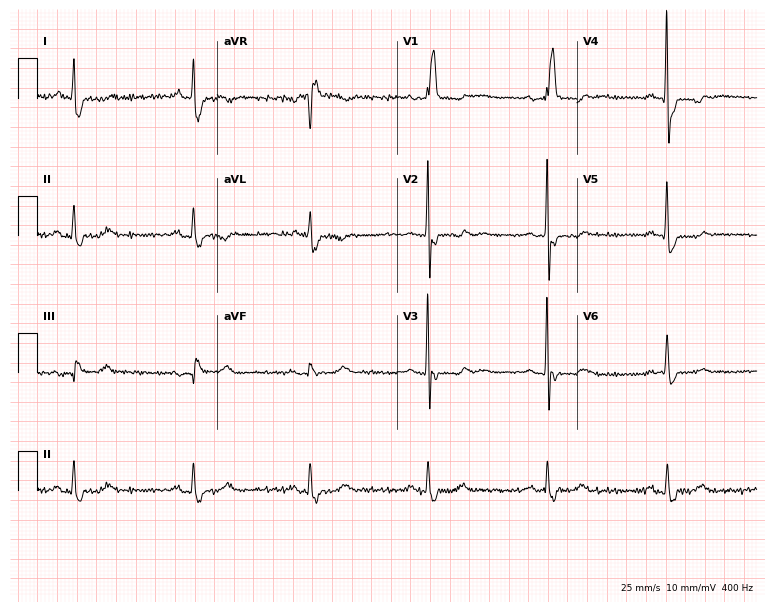
12-lead ECG (7.3-second recording at 400 Hz) from a 72-year-old female. Findings include right bundle branch block, sinus bradycardia (a sinus rate of 50 beats per minute or less).